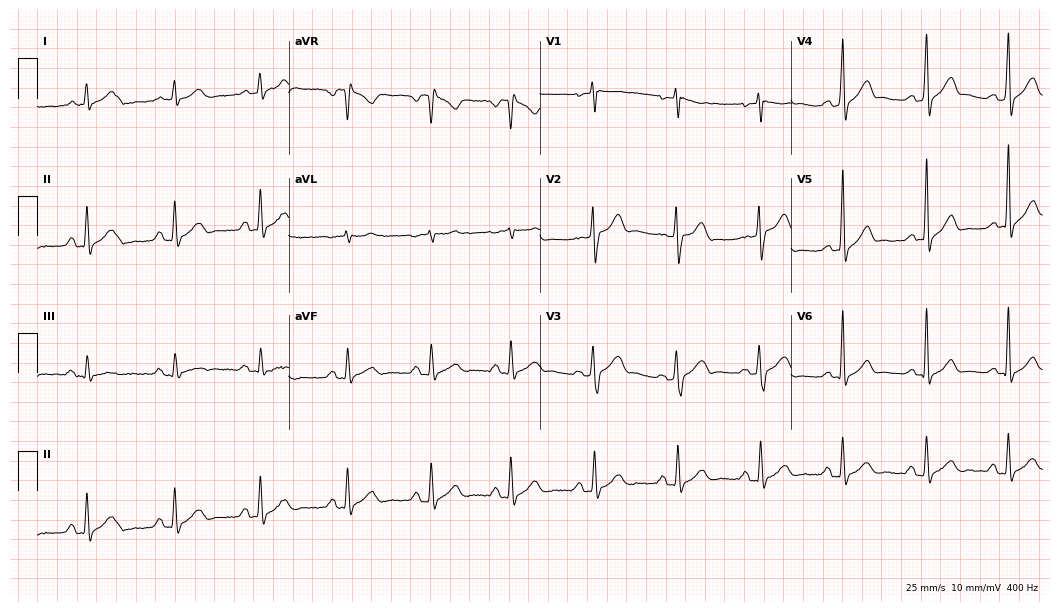
12-lead ECG from a 38-year-old man. Labelled as a normal ECG.